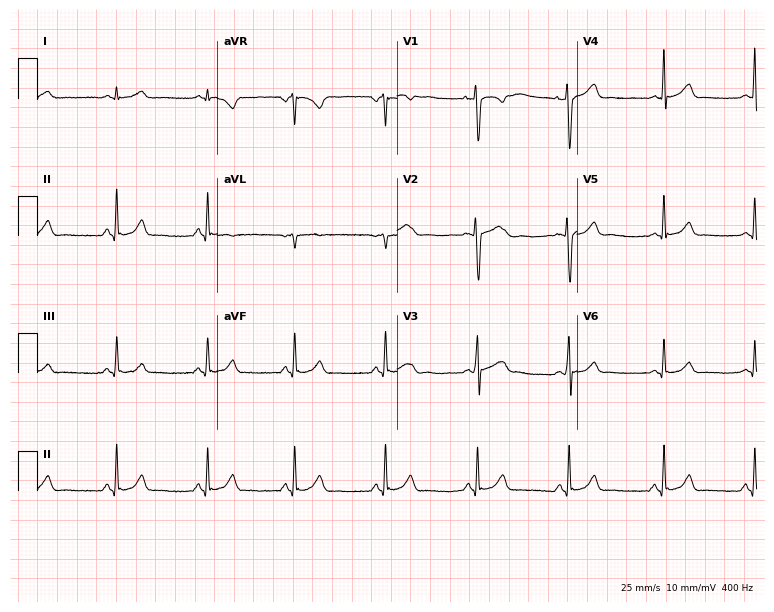
12-lead ECG from a 23-year-old woman. Recorded interpretation: within normal limits.